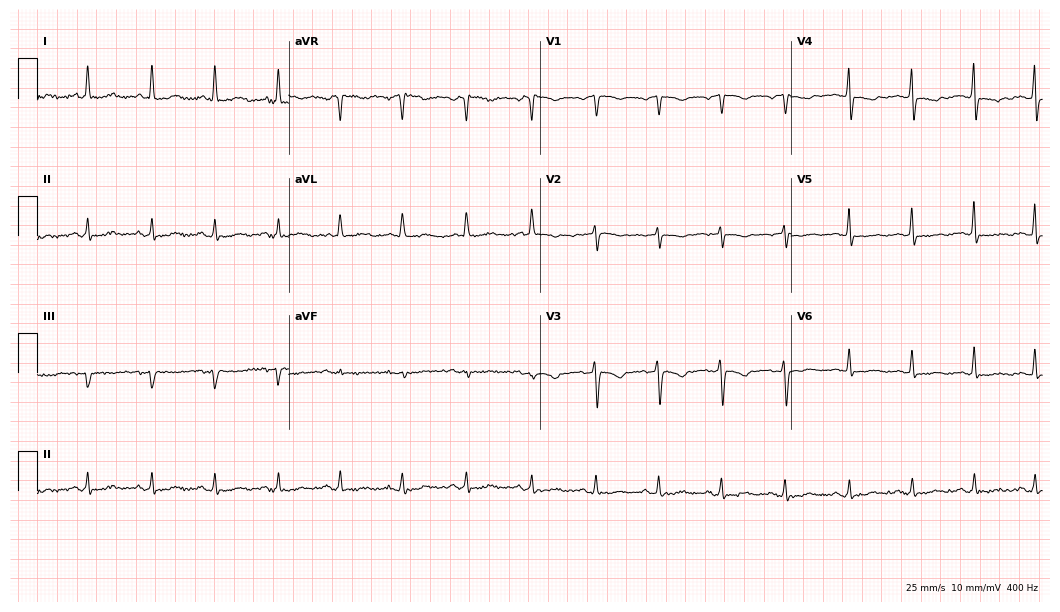
12-lead ECG from a female patient, 64 years old (10.2-second recording at 400 Hz). No first-degree AV block, right bundle branch block, left bundle branch block, sinus bradycardia, atrial fibrillation or sinus tachycardia recorded for this tracing.